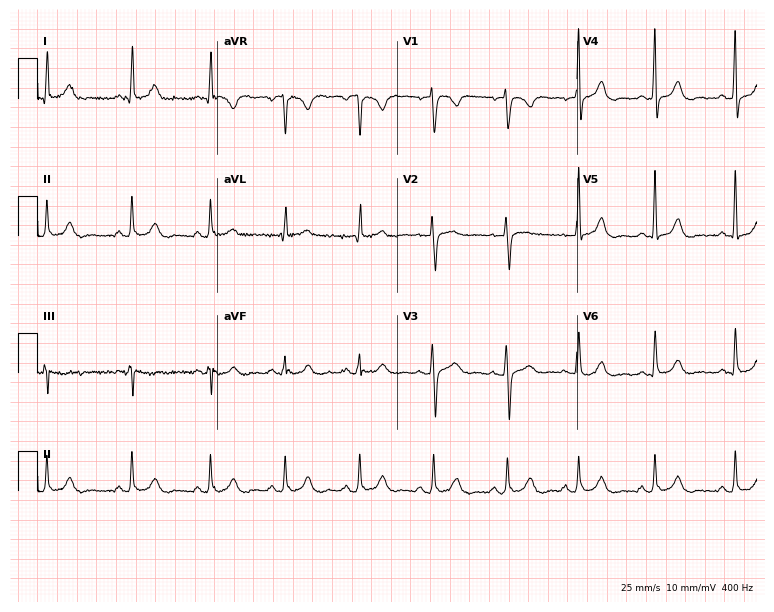
Standard 12-lead ECG recorded from a 40-year-old woman. Read as a normal ECG.